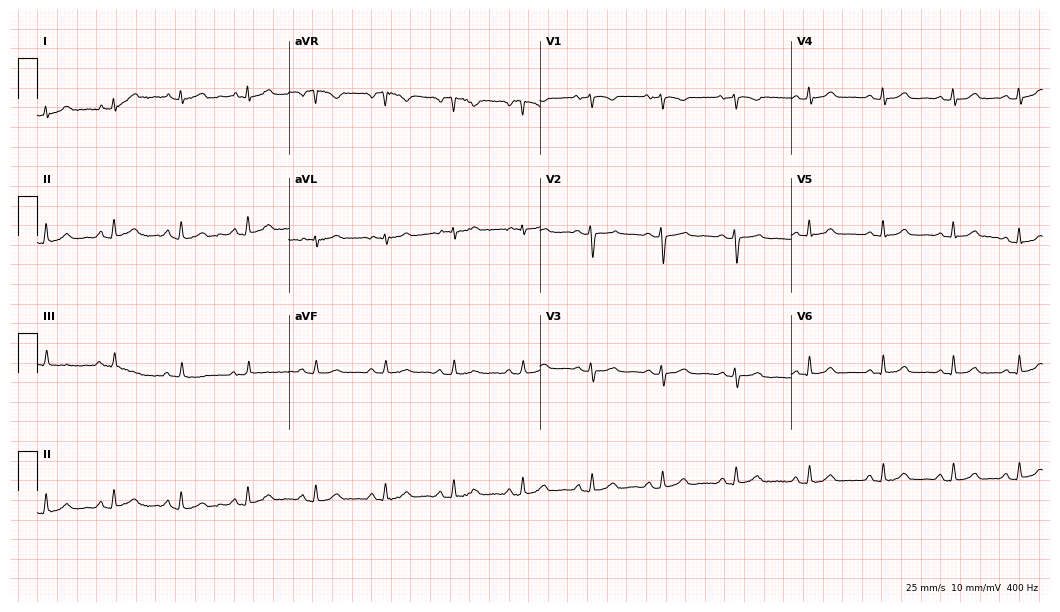
12-lead ECG (10.2-second recording at 400 Hz) from a 40-year-old woman. Labelled as a normal ECG.